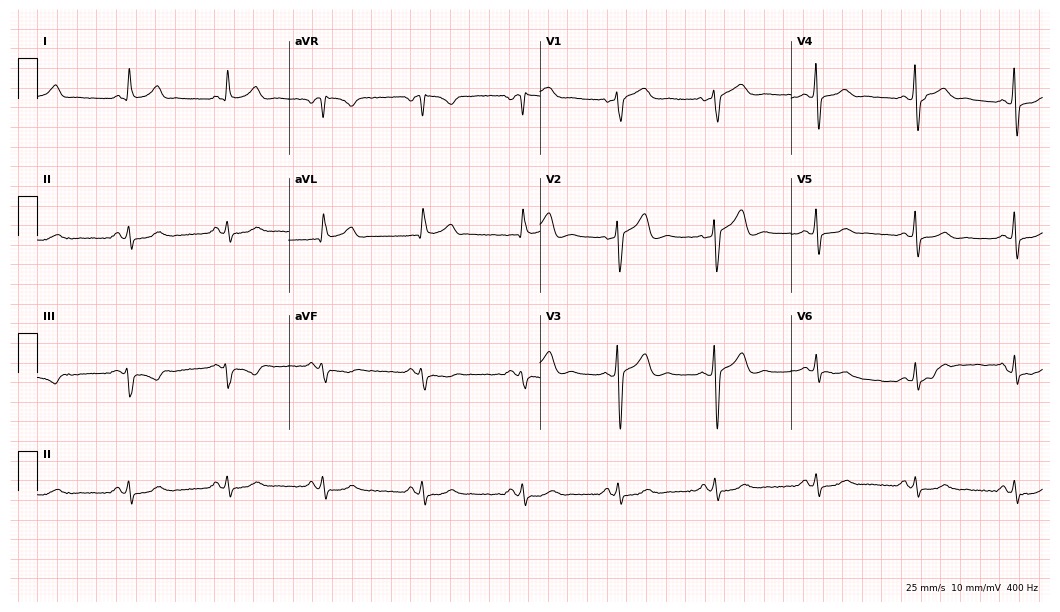
12-lead ECG from a 55-year-old male patient. Recorded interpretation: within normal limits.